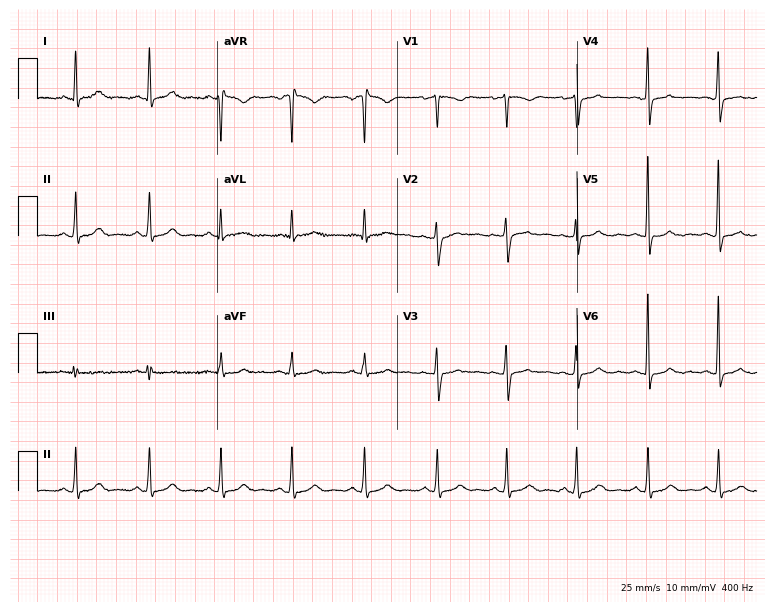
12-lead ECG from a 77-year-old female. No first-degree AV block, right bundle branch block, left bundle branch block, sinus bradycardia, atrial fibrillation or sinus tachycardia recorded for this tracing. Only these six findings were labelled.